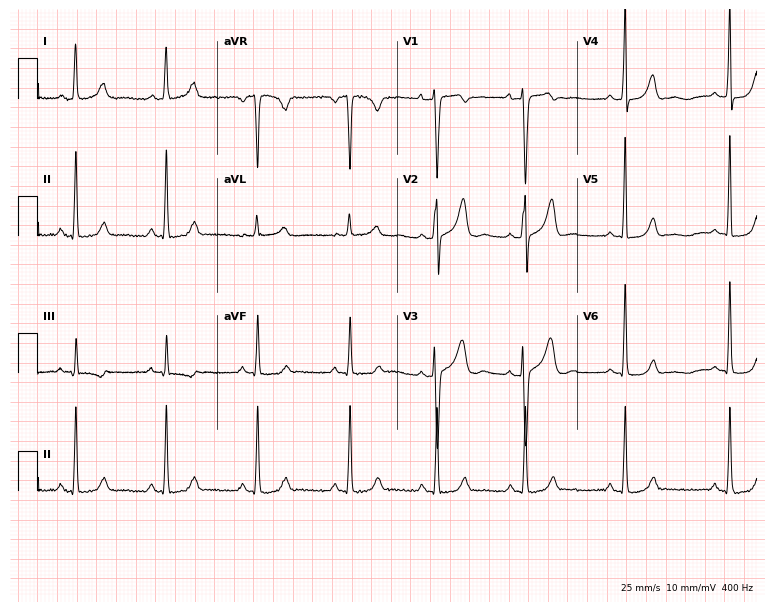
ECG (7.3-second recording at 400 Hz) — a woman, 22 years old. Labelled as a normal ECG.